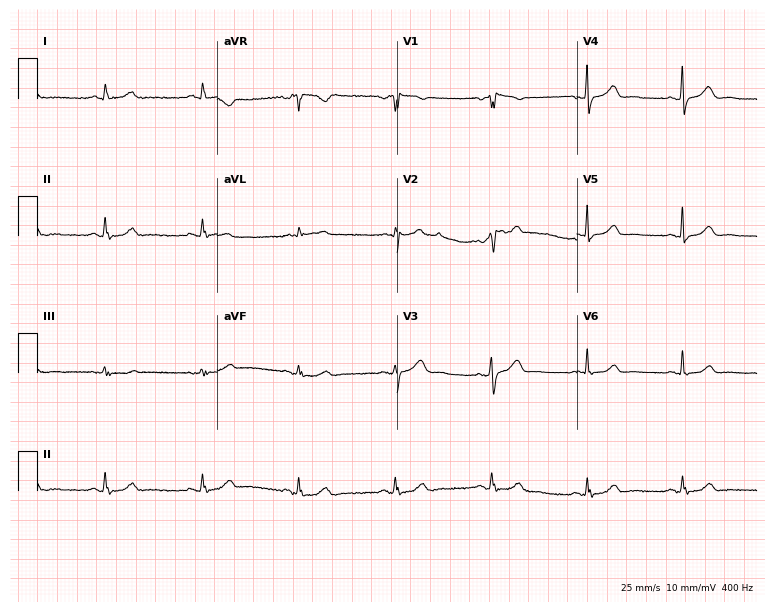
ECG (7.3-second recording at 400 Hz) — a 47-year-old female. Screened for six findings — first-degree AV block, right bundle branch block (RBBB), left bundle branch block (LBBB), sinus bradycardia, atrial fibrillation (AF), sinus tachycardia — none is recorded. Findings outside these six are not listed.